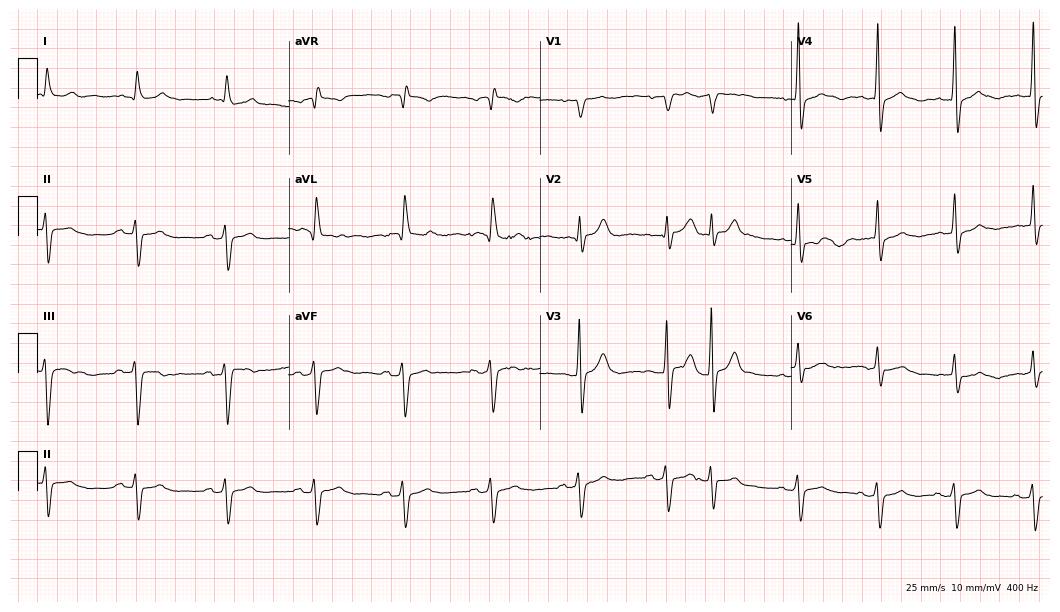
Resting 12-lead electrocardiogram. Patient: a 75-year-old male. None of these six findings is recorded: first-degree AV block, right bundle branch block, left bundle branch block, sinus bradycardia, atrial fibrillation, sinus tachycardia.